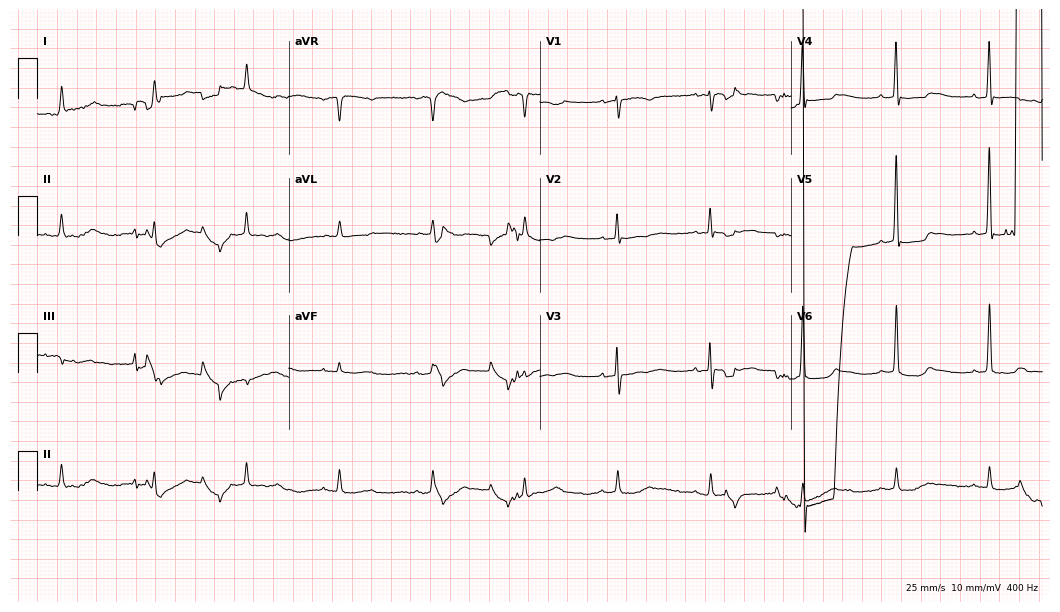
Electrocardiogram (10.2-second recording at 400 Hz), an 85-year-old female. Of the six screened findings (first-degree AV block, right bundle branch block, left bundle branch block, sinus bradycardia, atrial fibrillation, sinus tachycardia), none is recorded.